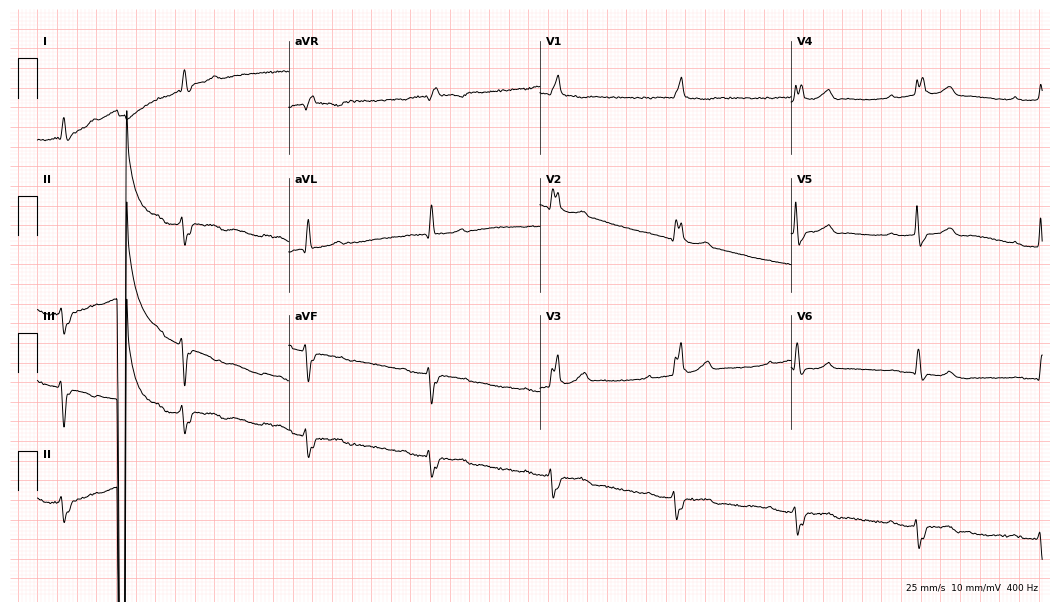
Electrocardiogram (10.2-second recording at 400 Hz), an 82-year-old male. Of the six screened findings (first-degree AV block, right bundle branch block, left bundle branch block, sinus bradycardia, atrial fibrillation, sinus tachycardia), none is recorded. Other findings, if any, are not listed.